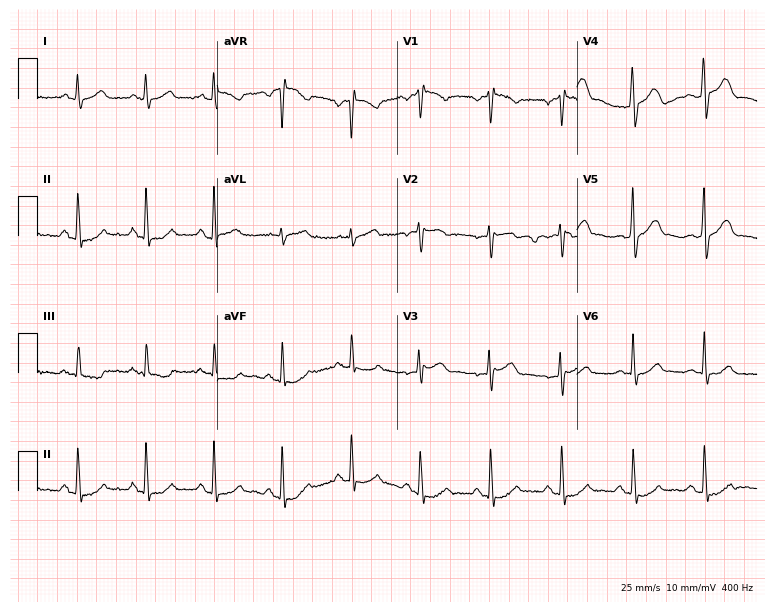
ECG (7.3-second recording at 400 Hz) — a 51-year-old man. Screened for six findings — first-degree AV block, right bundle branch block, left bundle branch block, sinus bradycardia, atrial fibrillation, sinus tachycardia — none is recorded. Other findings, if any, are not listed.